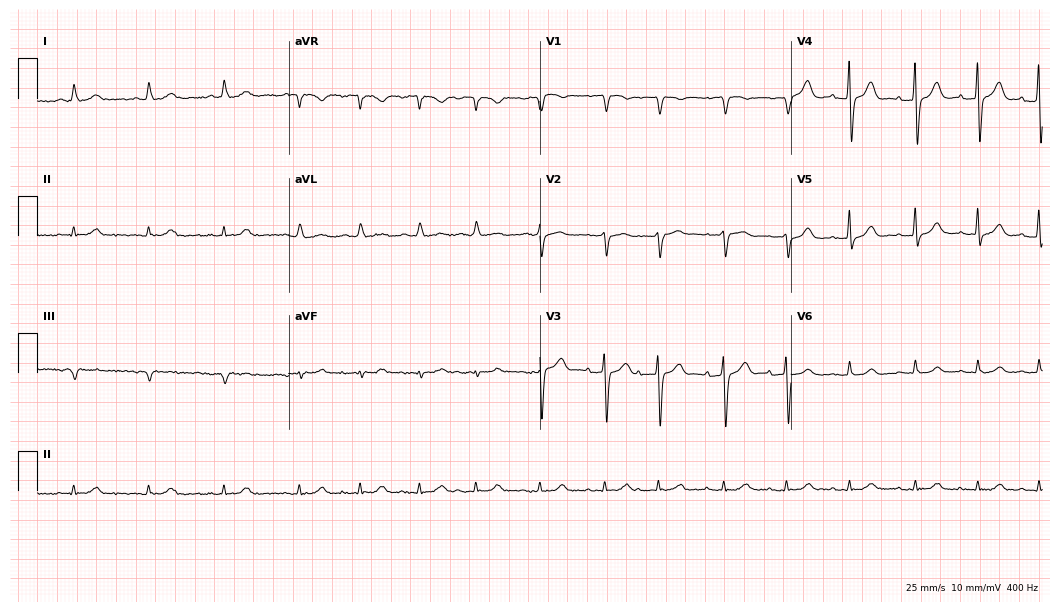
12-lead ECG from an 81-year-old woman. Labelled as a normal ECG.